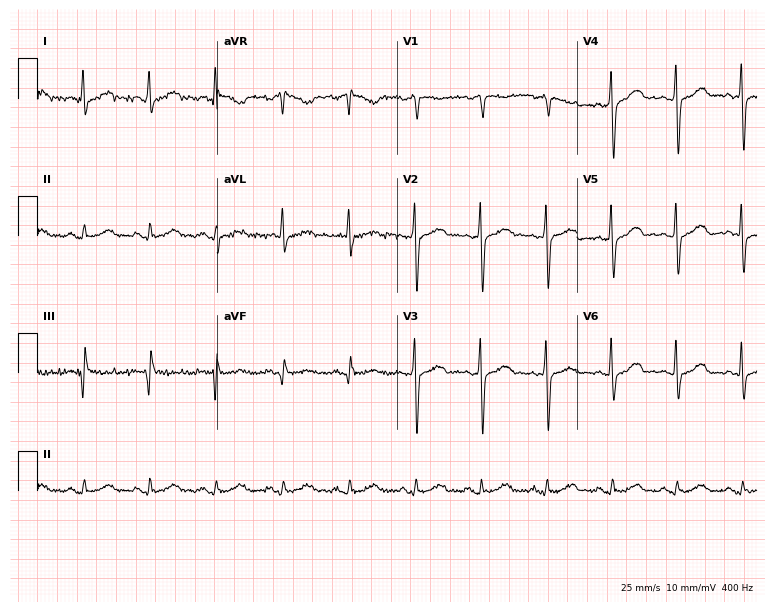
ECG — a female, 56 years old. Screened for six findings — first-degree AV block, right bundle branch block, left bundle branch block, sinus bradycardia, atrial fibrillation, sinus tachycardia — none is recorded.